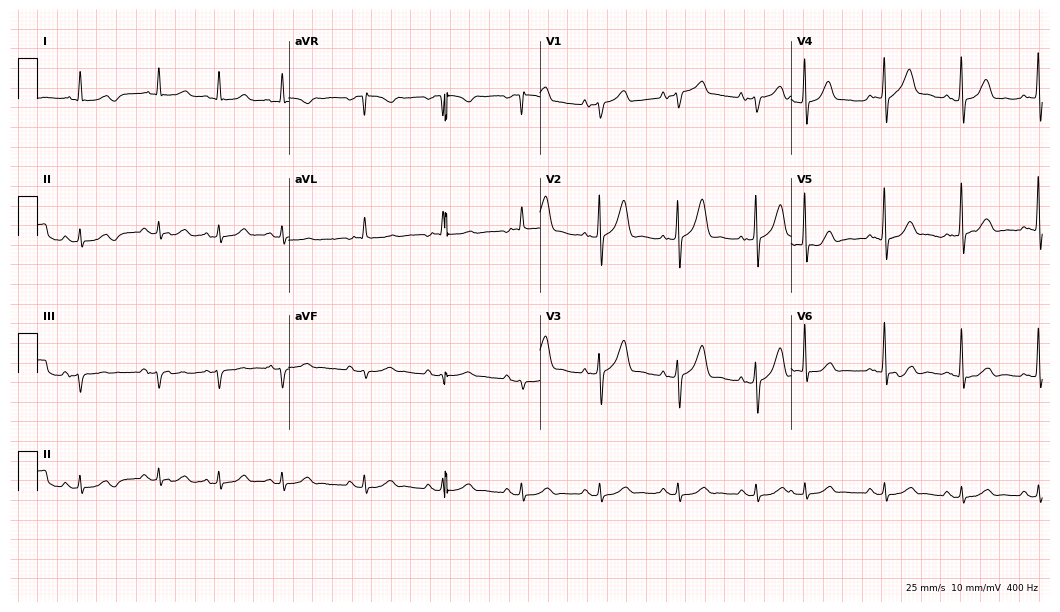
Resting 12-lead electrocardiogram. Patient: a male, 82 years old. None of these six findings is recorded: first-degree AV block, right bundle branch block, left bundle branch block, sinus bradycardia, atrial fibrillation, sinus tachycardia. Findings outside these six are not listed.